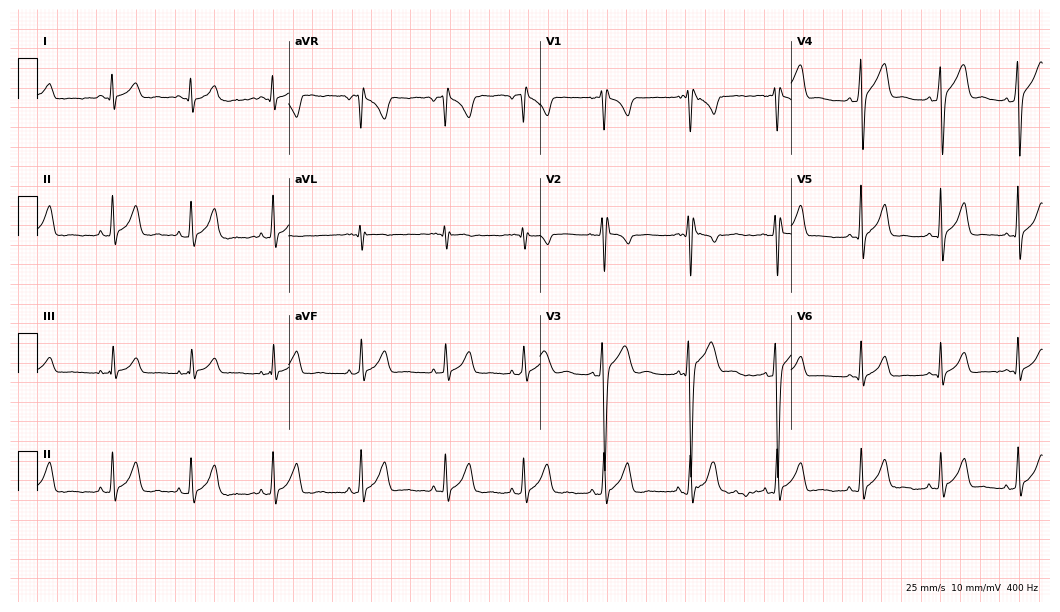
12-lead ECG from an 18-year-old male patient (10.2-second recording at 400 Hz). Recorded interpretation: within normal limits.